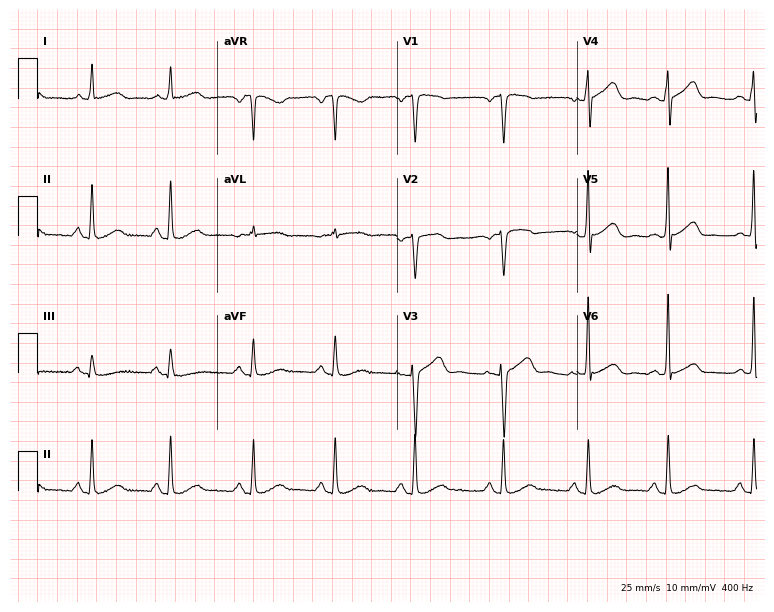
12-lead ECG from a 59-year-old woman (7.3-second recording at 400 Hz). Recorded interpretation: within normal limits.